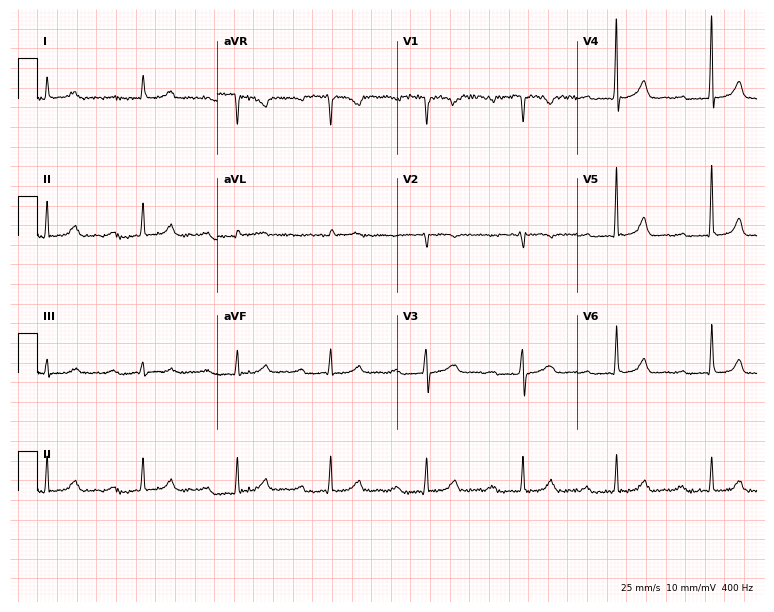
12-lead ECG (7.3-second recording at 400 Hz) from a male patient, 71 years old. Screened for six findings — first-degree AV block, right bundle branch block (RBBB), left bundle branch block (LBBB), sinus bradycardia, atrial fibrillation (AF), sinus tachycardia — none is recorded.